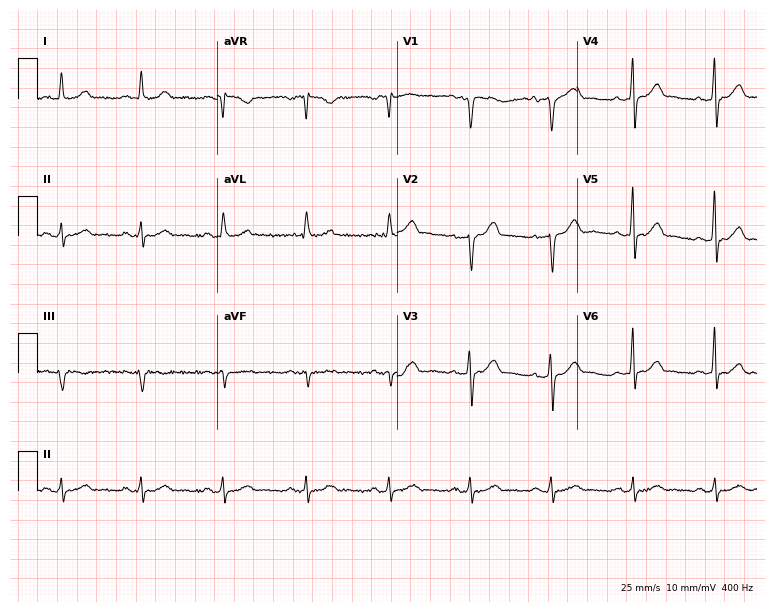
Electrocardiogram (7.3-second recording at 400 Hz), a man, 54 years old. Overall reading on record: normal ECG.